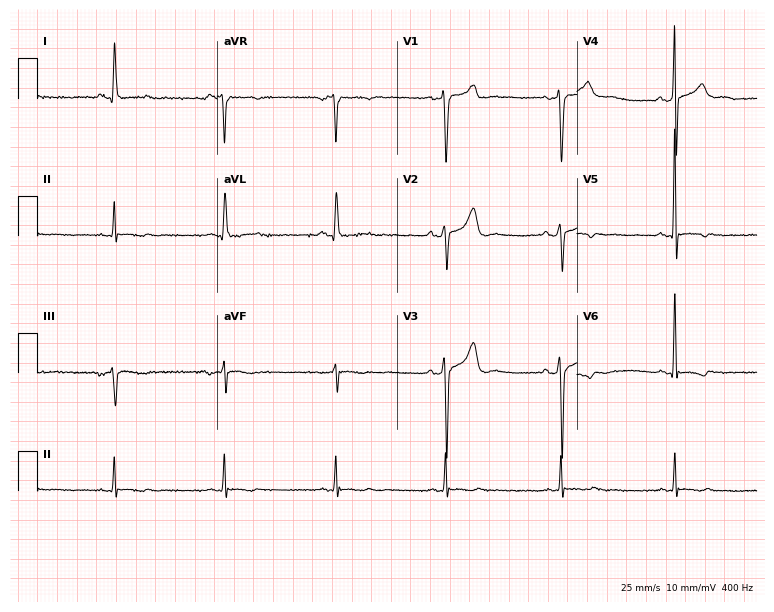
ECG — a 49-year-old man. Screened for six findings — first-degree AV block, right bundle branch block, left bundle branch block, sinus bradycardia, atrial fibrillation, sinus tachycardia — none is recorded.